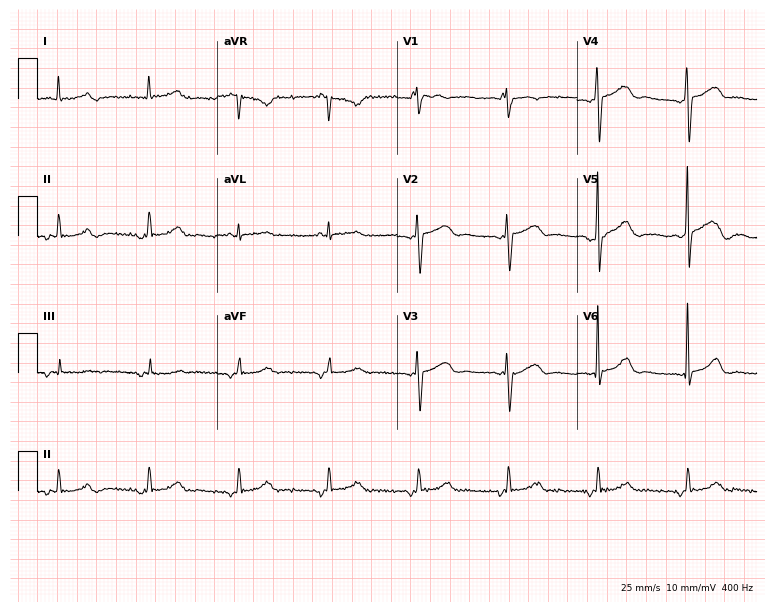
Electrocardiogram, a 67-year-old male. Of the six screened findings (first-degree AV block, right bundle branch block (RBBB), left bundle branch block (LBBB), sinus bradycardia, atrial fibrillation (AF), sinus tachycardia), none is recorded. Other findings, if any, are not listed.